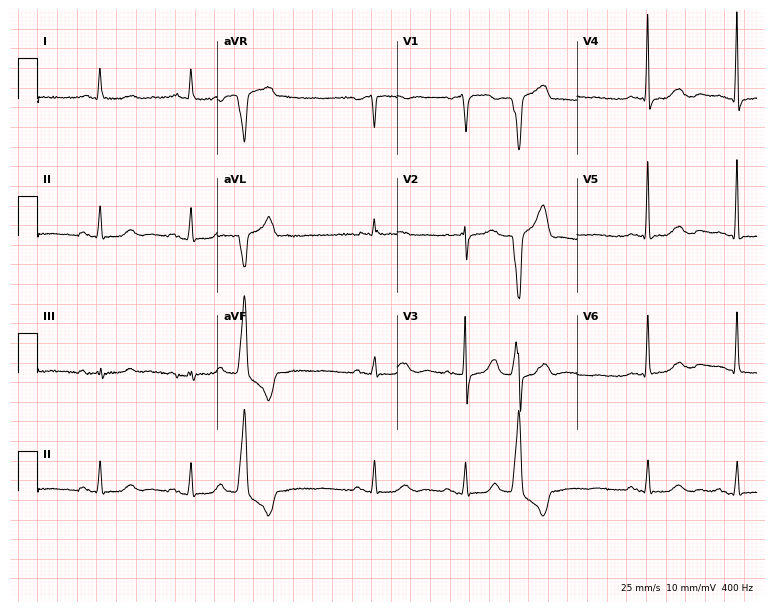
ECG — a 74-year-old man. Screened for six findings — first-degree AV block, right bundle branch block (RBBB), left bundle branch block (LBBB), sinus bradycardia, atrial fibrillation (AF), sinus tachycardia — none is recorded. Only these six findings were labelled.